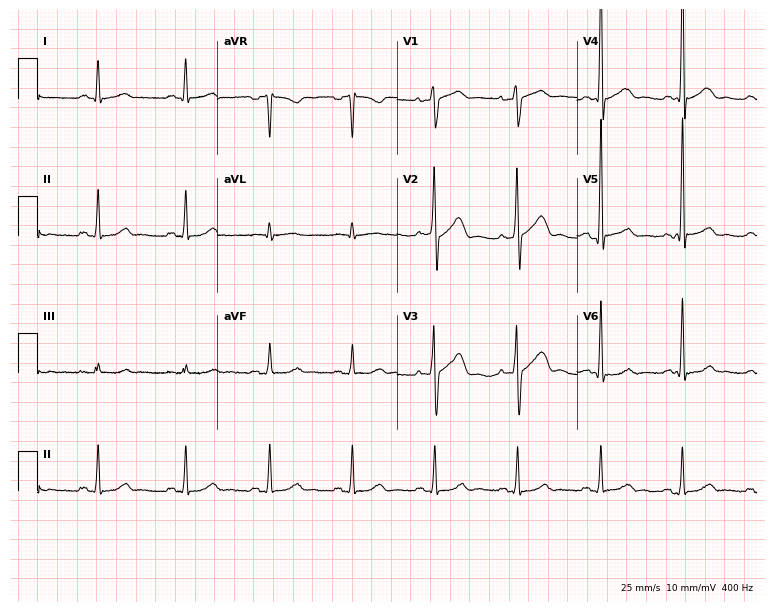
Resting 12-lead electrocardiogram (7.3-second recording at 400 Hz). Patient: a male, 61 years old. Read as a normal ECG.